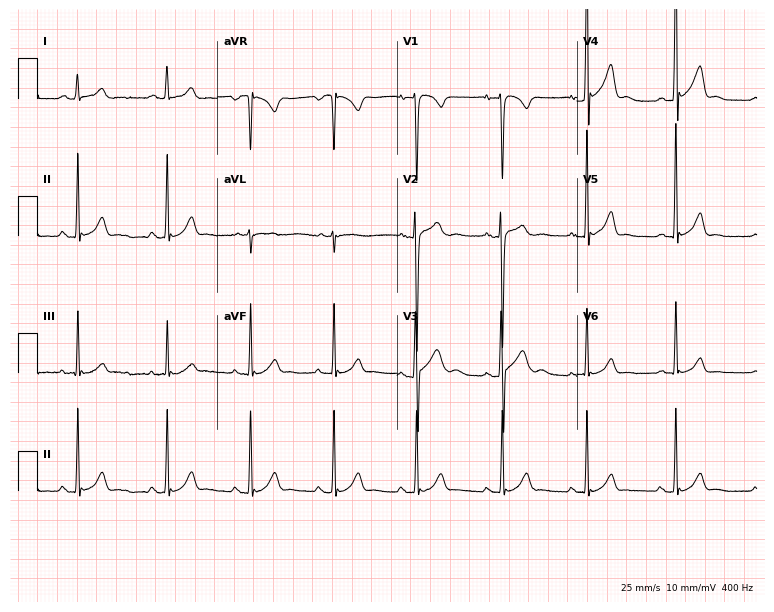
12-lead ECG from a 24-year-old male patient (7.3-second recording at 400 Hz). No first-degree AV block, right bundle branch block (RBBB), left bundle branch block (LBBB), sinus bradycardia, atrial fibrillation (AF) or sinus tachycardia recorded for this tracing.